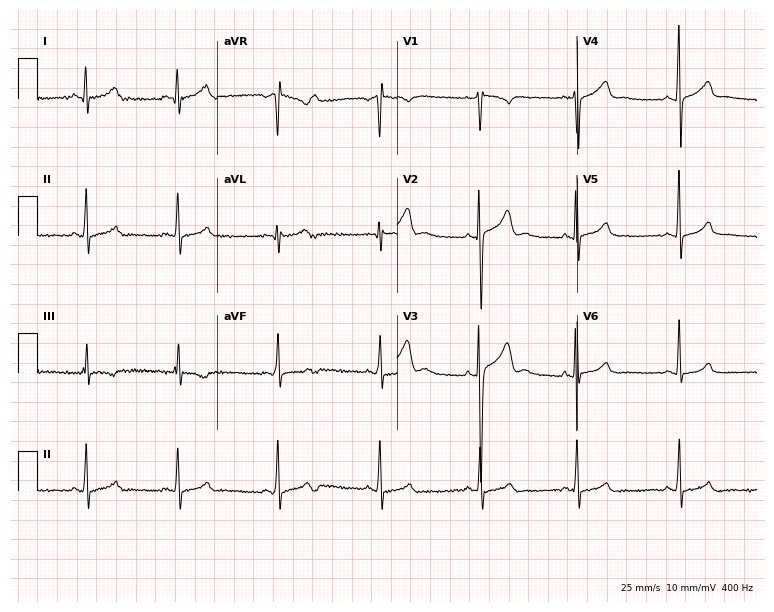
12-lead ECG (7.3-second recording at 400 Hz) from a 22-year-old man. Screened for six findings — first-degree AV block, right bundle branch block, left bundle branch block, sinus bradycardia, atrial fibrillation, sinus tachycardia — none is recorded.